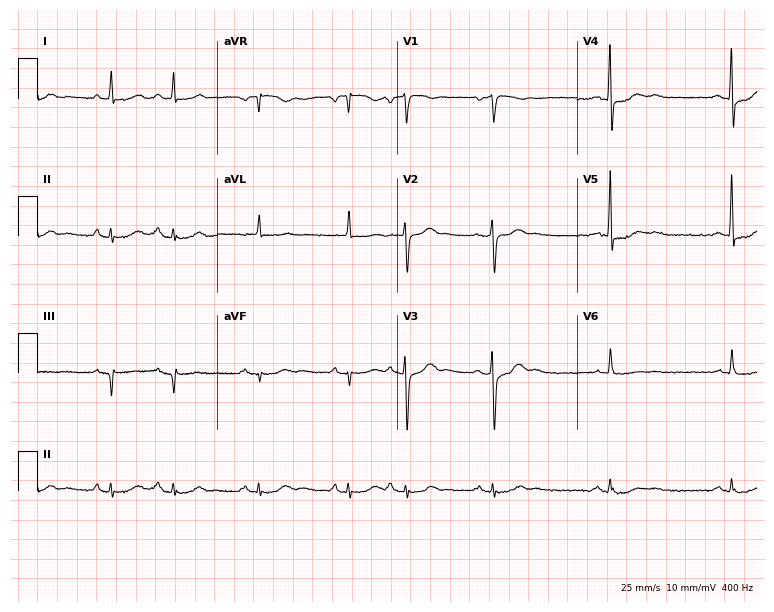
Resting 12-lead electrocardiogram (7.3-second recording at 400 Hz). Patient: a male, 78 years old. Read as a normal ECG.